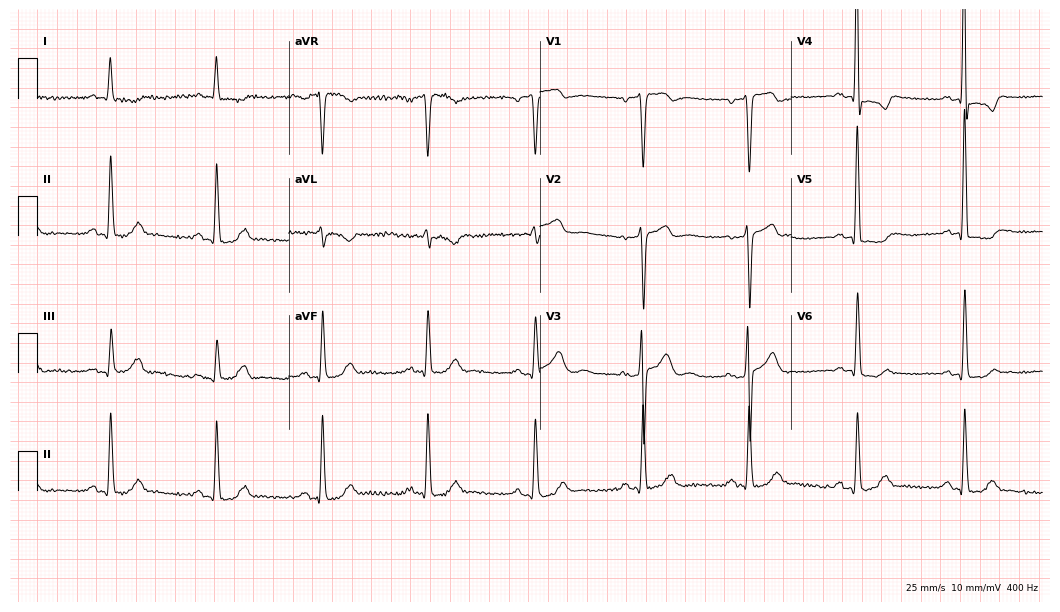
ECG (10.2-second recording at 400 Hz) — an 82-year-old man. Screened for six findings — first-degree AV block, right bundle branch block (RBBB), left bundle branch block (LBBB), sinus bradycardia, atrial fibrillation (AF), sinus tachycardia — none is recorded. Other findings, if any, are not listed.